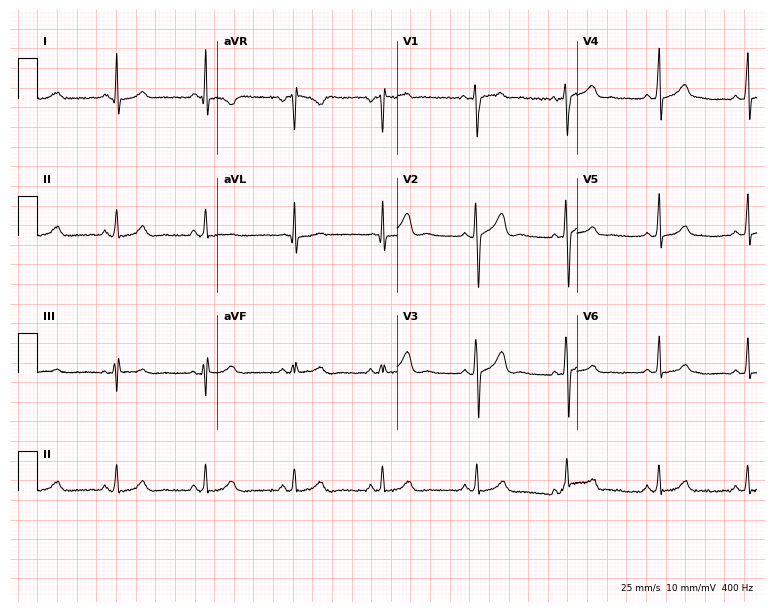
ECG — an 18-year-old woman. Labelled as a normal ECG.